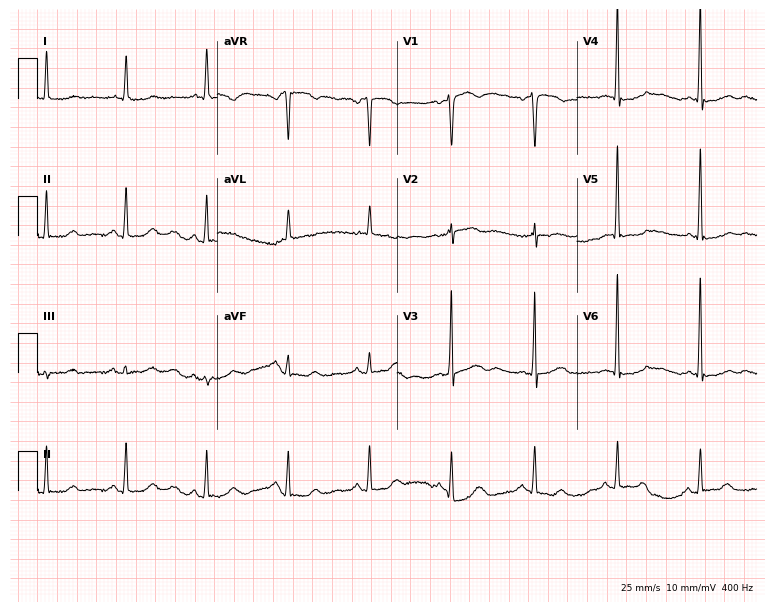
Resting 12-lead electrocardiogram. Patient: a female, 67 years old. None of these six findings is recorded: first-degree AV block, right bundle branch block, left bundle branch block, sinus bradycardia, atrial fibrillation, sinus tachycardia. Findings outside these six are not listed.